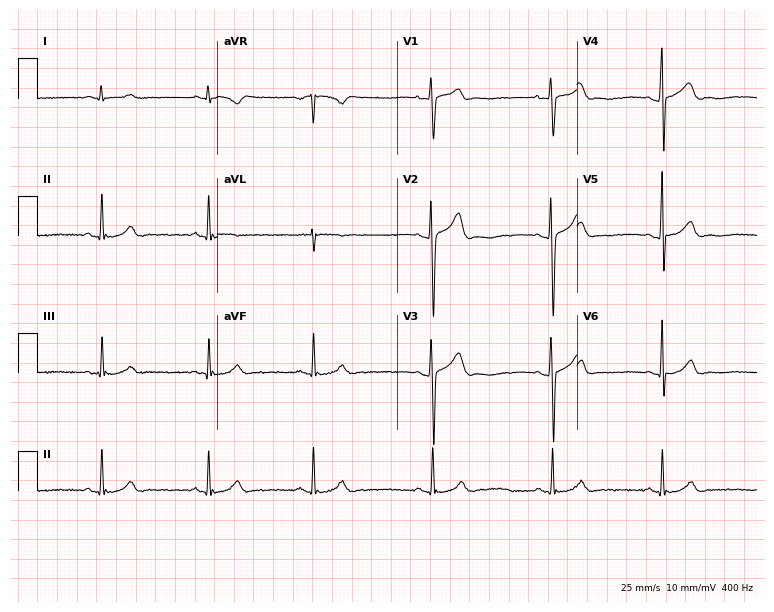
Resting 12-lead electrocardiogram (7.3-second recording at 400 Hz). Patient: a 21-year-old male. Read as a normal ECG.